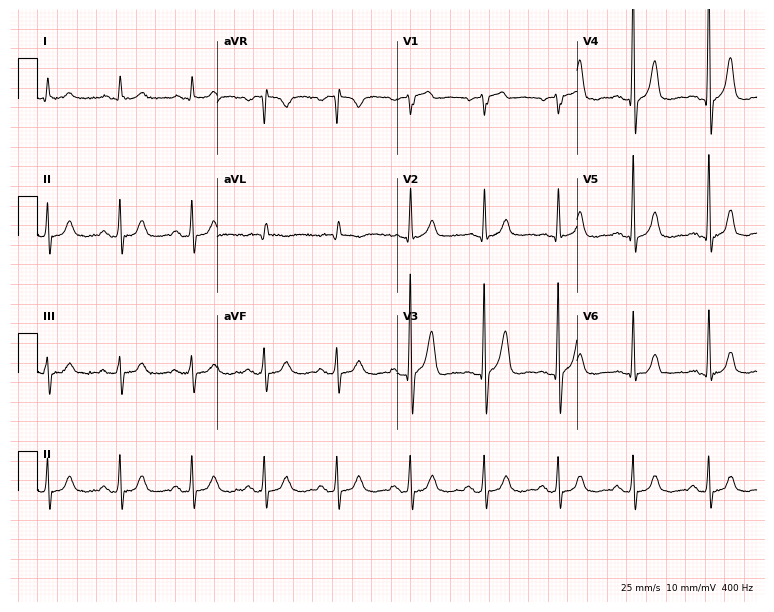
Standard 12-lead ECG recorded from a 64-year-old male patient (7.3-second recording at 400 Hz). Read as a normal ECG.